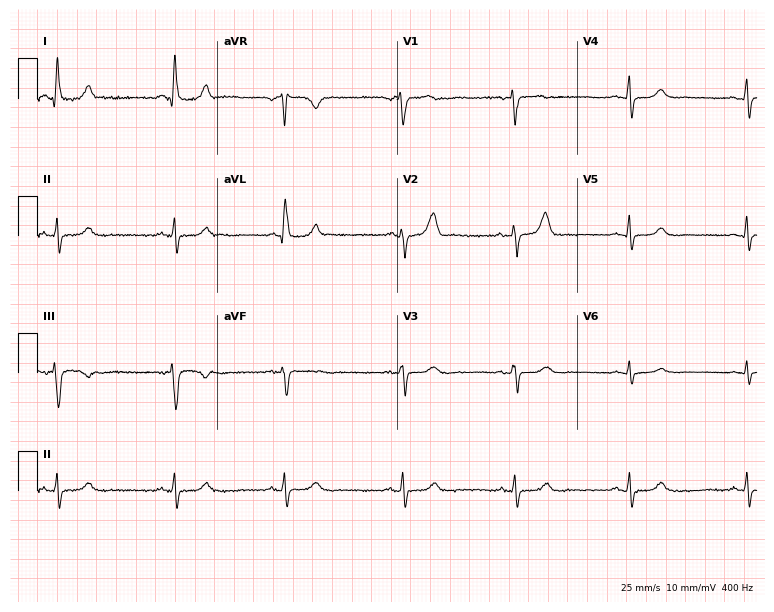
ECG (7.3-second recording at 400 Hz) — a 64-year-old woman. Labelled as a normal ECG.